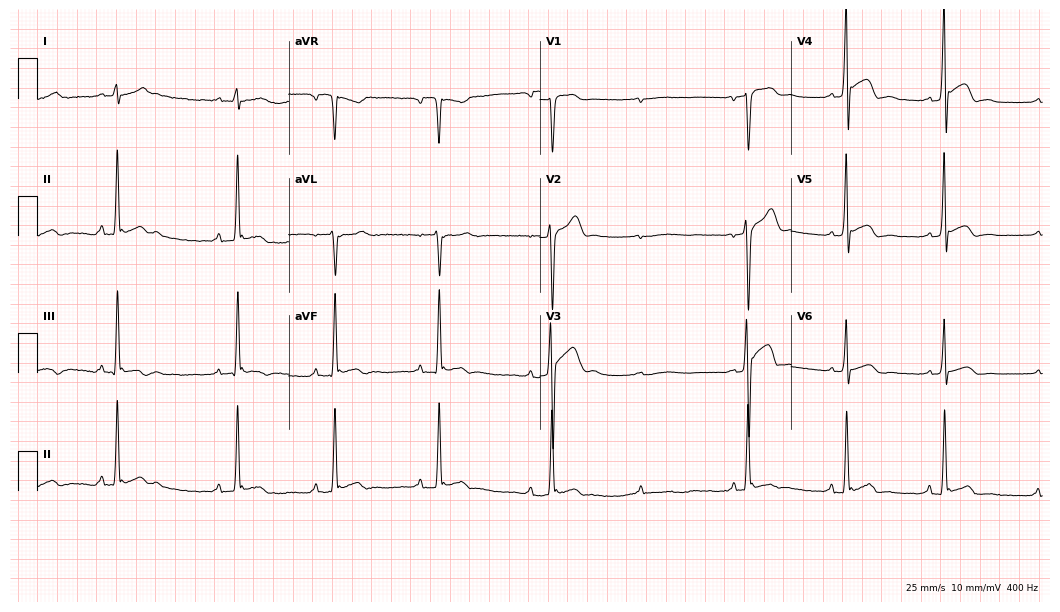
ECG — a 21-year-old man. Screened for six findings — first-degree AV block, right bundle branch block, left bundle branch block, sinus bradycardia, atrial fibrillation, sinus tachycardia — none is recorded. Findings outside these six are not listed.